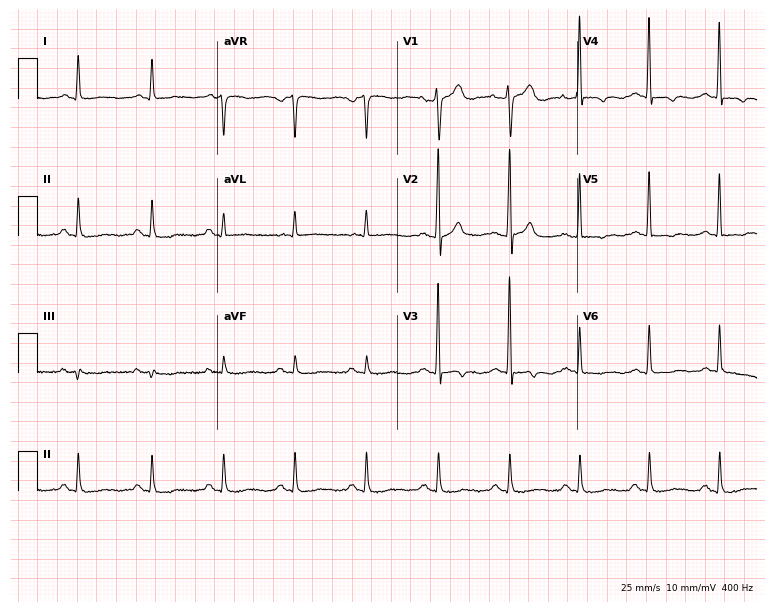
Electrocardiogram (7.3-second recording at 400 Hz), a 60-year-old male. Of the six screened findings (first-degree AV block, right bundle branch block, left bundle branch block, sinus bradycardia, atrial fibrillation, sinus tachycardia), none is recorded.